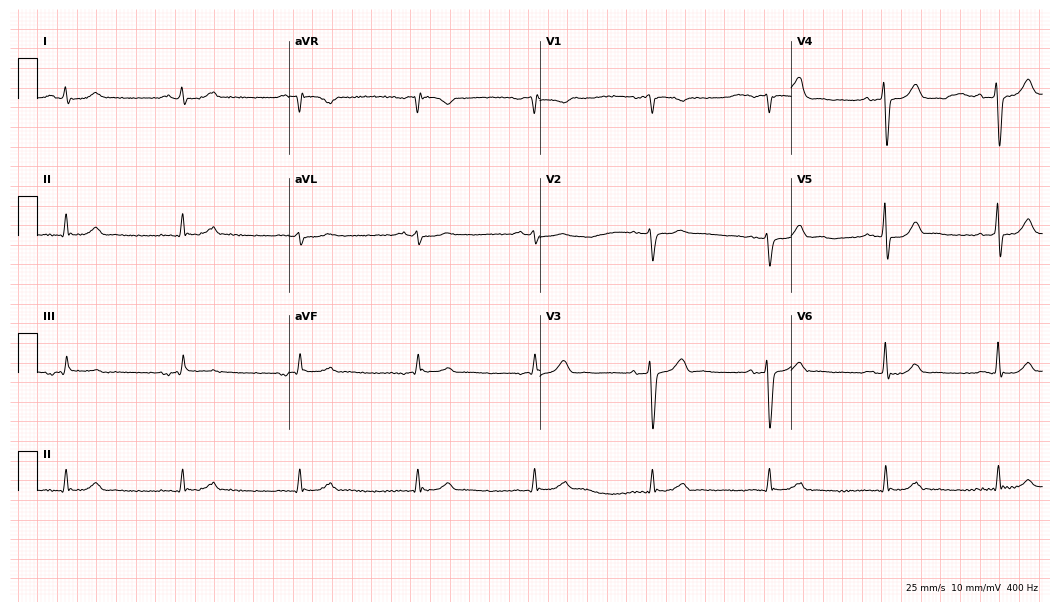
Electrocardiogram, a 69-year-old male patient. Of the six screened findings (first-degree AV block, right bundle branch block (RBBB), left bundle branch block (LBBB), sinus bradycardia, atrial fibrillation (AF), sinus tachycardia), none is recorded.